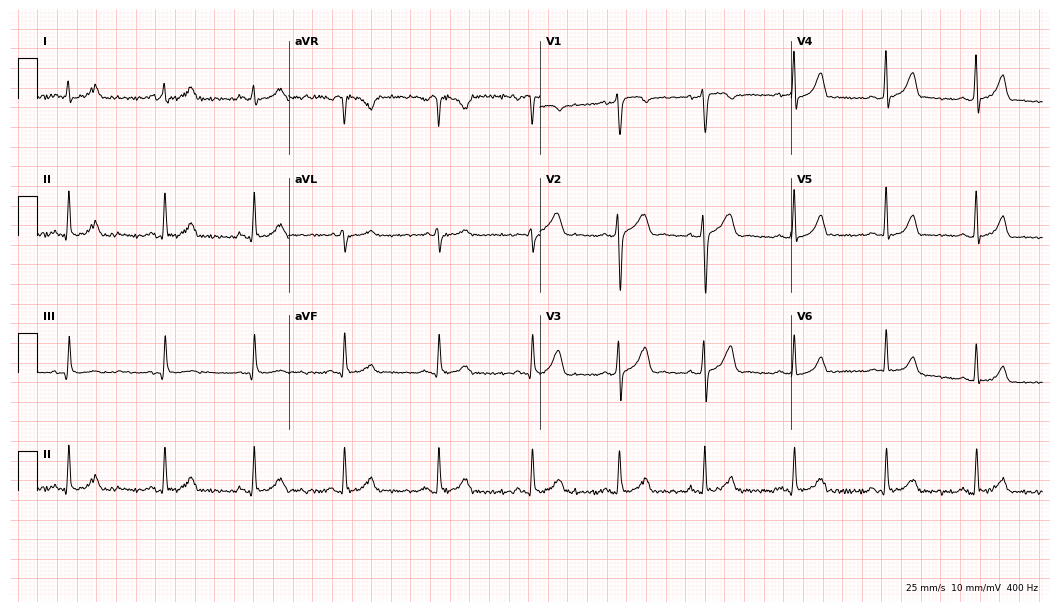
Electrocardiogram (10.2-second recording at 400 Hz), a male, 31 years old. Overall reading on record: normal ECG.